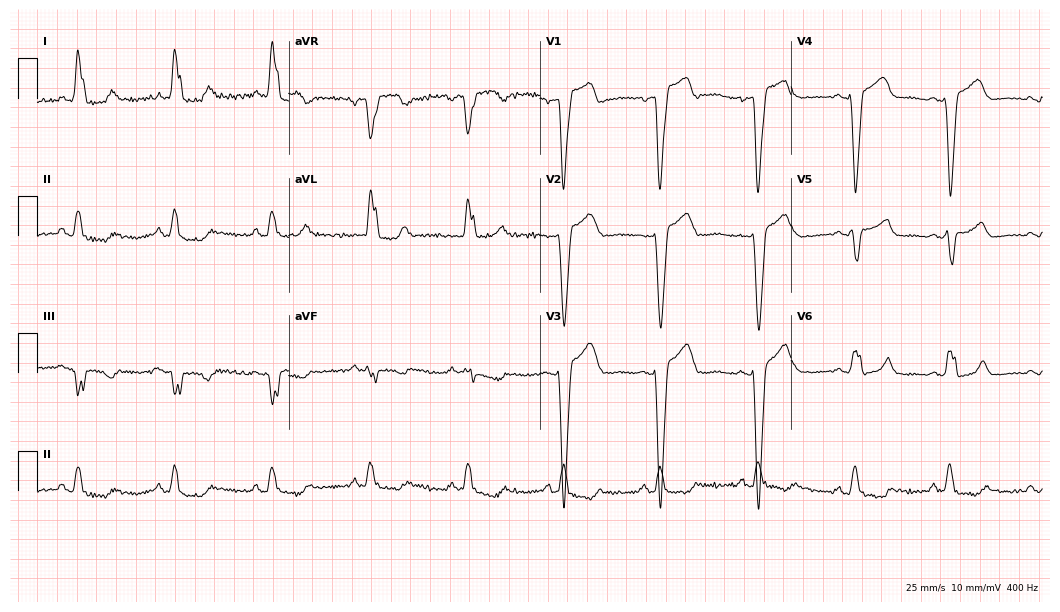
ECG — a 74-year-old female. Findings include left bundle branch block (LBBB).